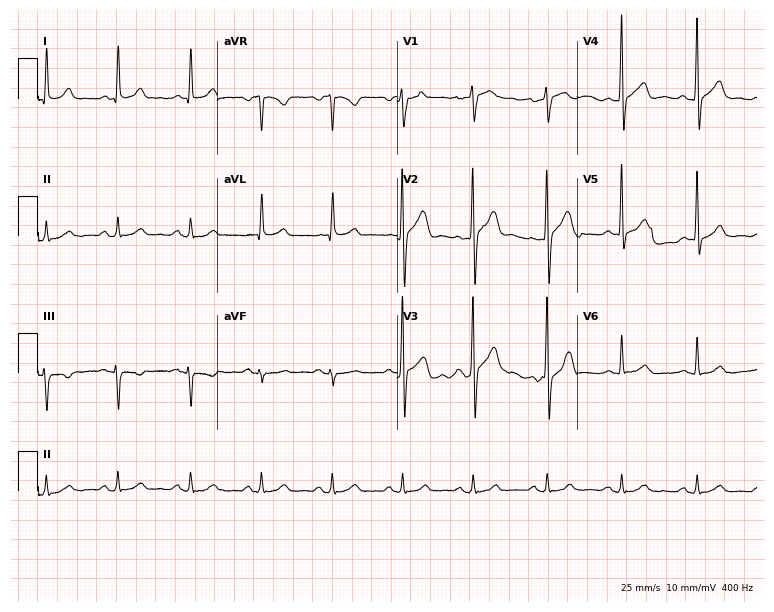
12-lead ECG from a male, 55 years old (7.3-second recording at 400 Hz). No first-degree AV block, right bundle branch block, left bundle branch block, sinus bradycardia, atrial fibrillation or sinus tachycardia recorded for this tracing.